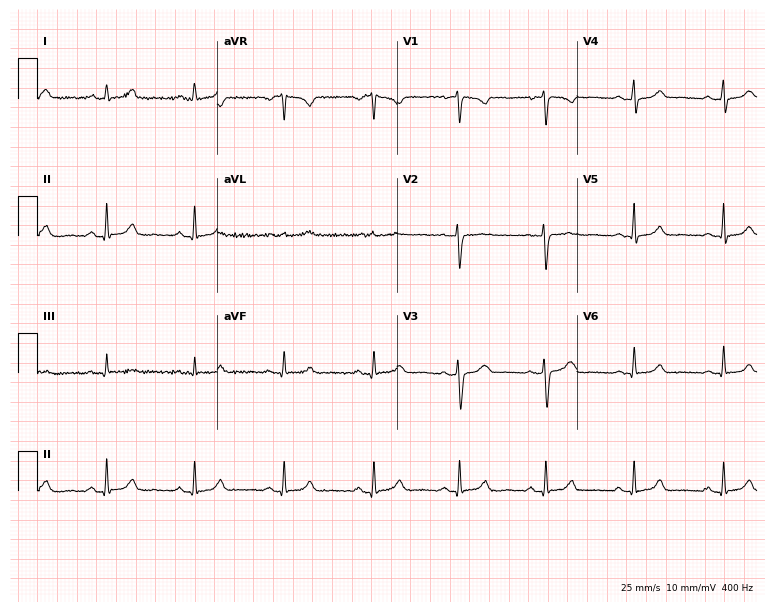
Standard 12-lead ECG recorded from a female patient, 27 years old. None of these six findings is recorded: first-degree AV block, right bundle branch block (RBBB), left bundle branch block (LBBB), sinus bradycardia, atrial fibrillation (AF), sinus tachycardia. Only these six findings were labelled.